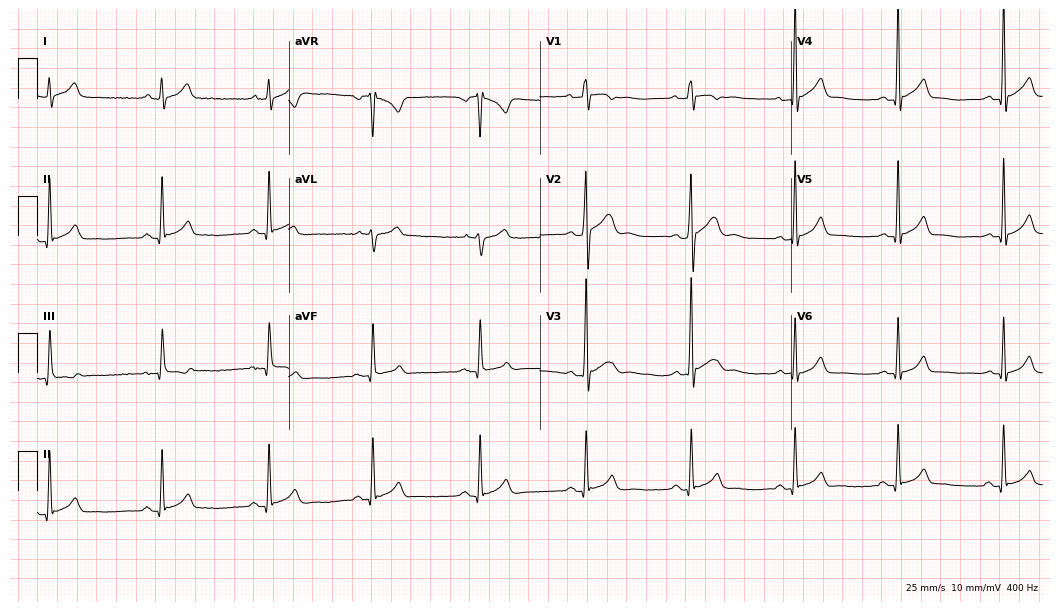
12-lead ECG (10.2-second recording at 400 Hz) from a 20-year-old male patient. Labelled as a normal ECG.